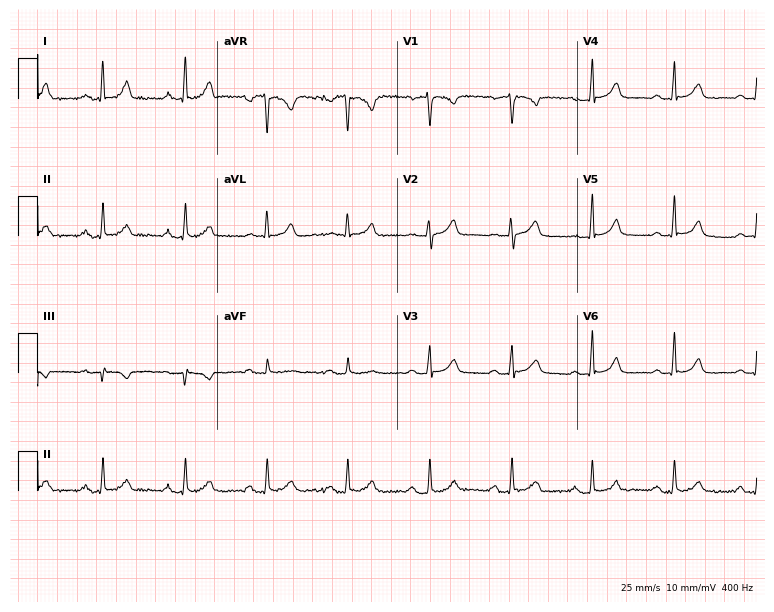
Standard 12-lead ECG recorded from a 48-year-old female (7.3-second recording at 400 Hz). Read as a normal ECG.